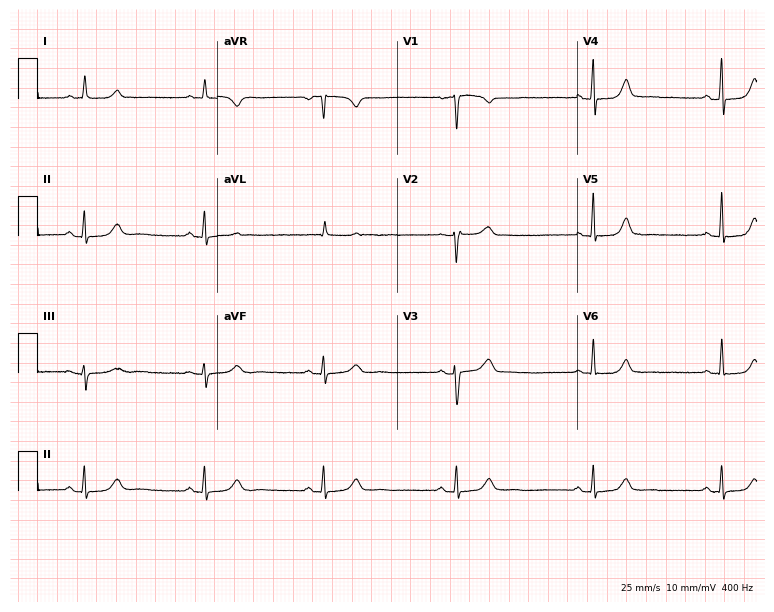
12-lead ECG from a 56-year-old woman. Screened for six findings — first-degree AV block, right bundle branch block (RBBB), left bundle branch block (LBBB), sinus bradycardia, atrial fibrillation (AF), sinus tachycardia — none is recorded. Only these six findings were labelled.